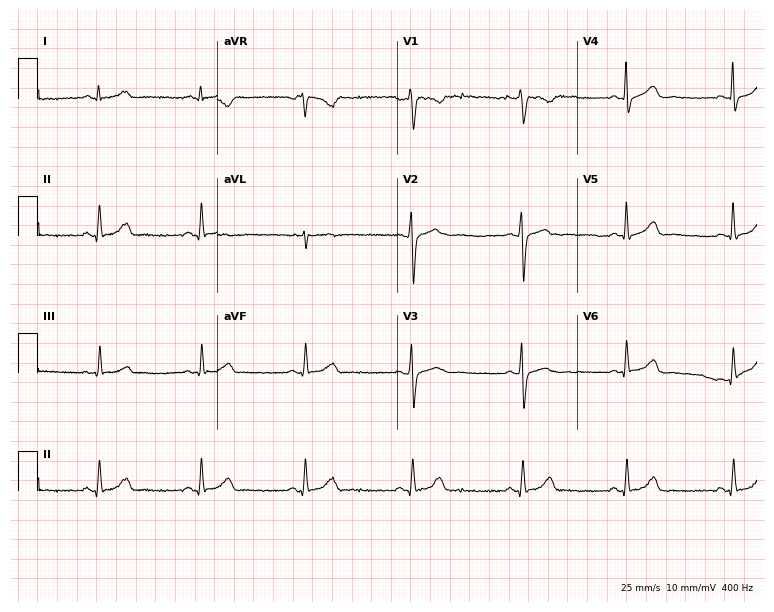
Standard 12-lead ECG recorded from a 33-year-old female patient (7.3-second recording at 400 Hz). Read as a normal ECG.